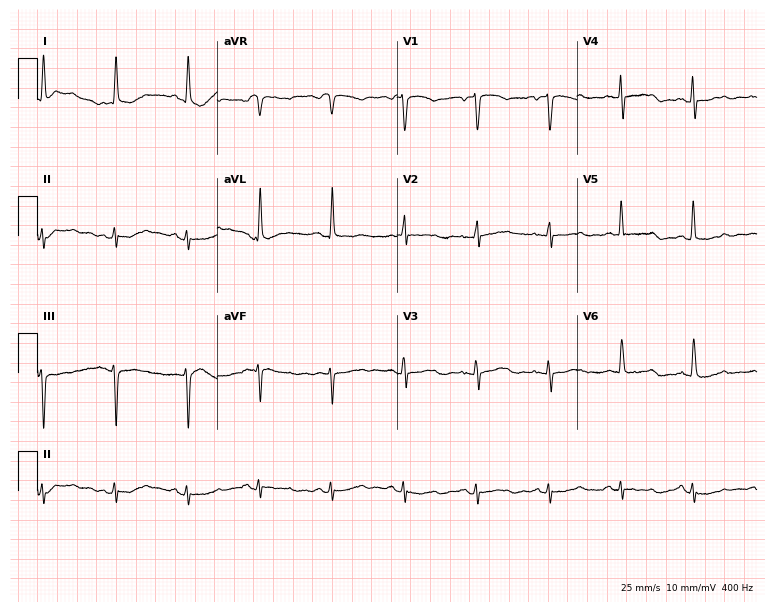
Resting 12-lead electrocardiogram (7.3-second recording at 400 Hz). Patient: a female, 85 years old. None of these six findings is recorded: first-degree AV block, right bundle branch block, left bundle branch block, sinus bradycardia, atrial fibrillation, sinus tachycardia.